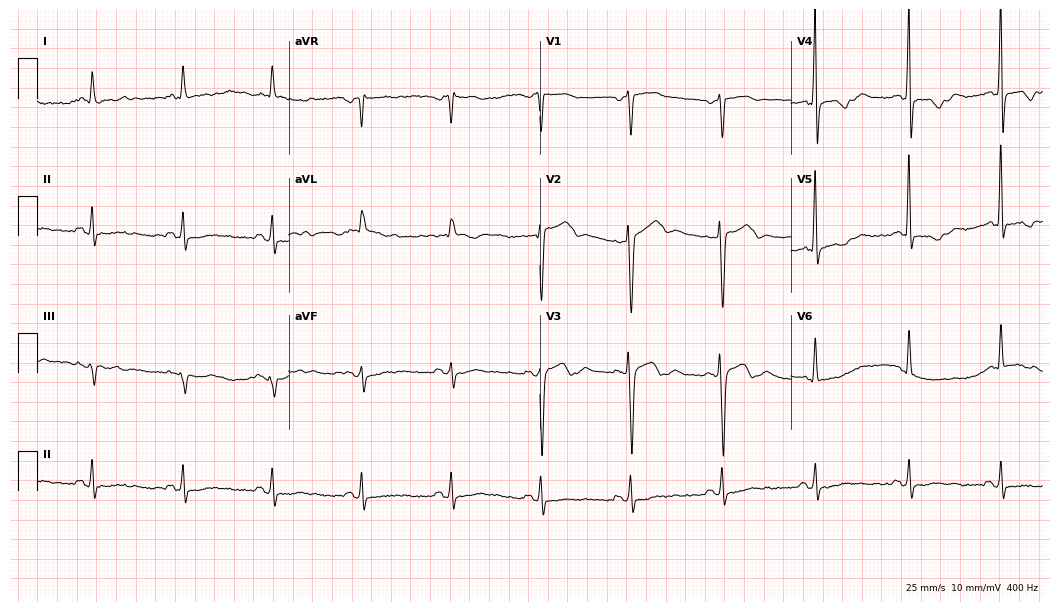
Electrocardiogram (10.2-second recording at 400 Hz), a woman, 78 years old. Of the six screened findings (first-degree AV block, right bundle branch block, left bundle branch block, sinus bradycardia, atrial fibrillation, sinus tachycardia), none is recorded.